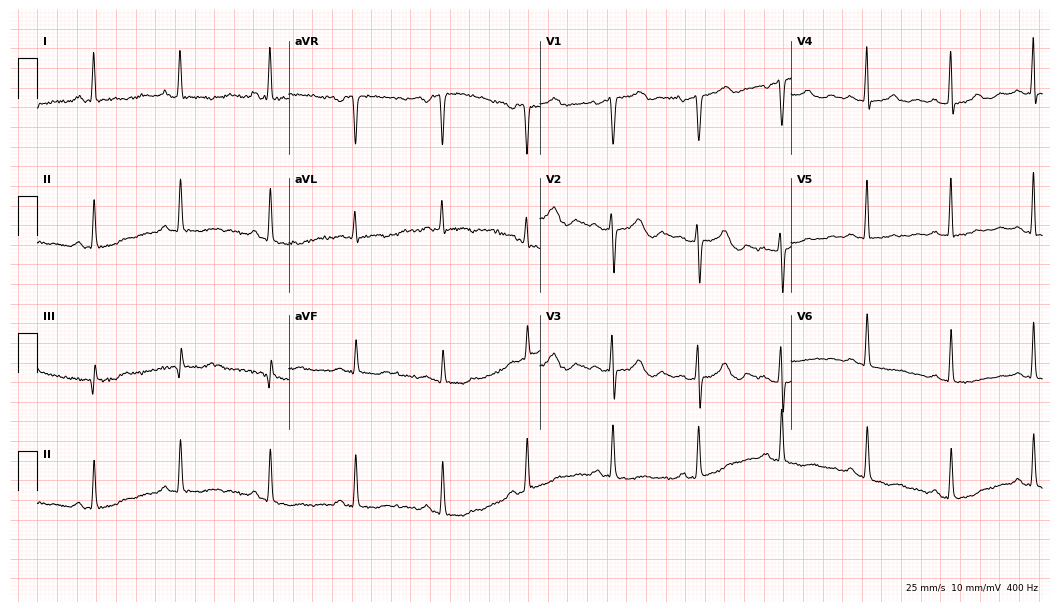
12-lead ECG (10.2-second recording at 400 Hz) from a 47-year-old female patient. Screened for six findings — first-degree AV block, right bundle branch block (RBBB), left bundle branch block (LBBB), sinus bradycardia, atrial fibrillation (AF), sinus tachycardia — none is recorded. Findings outside these six are not listed.